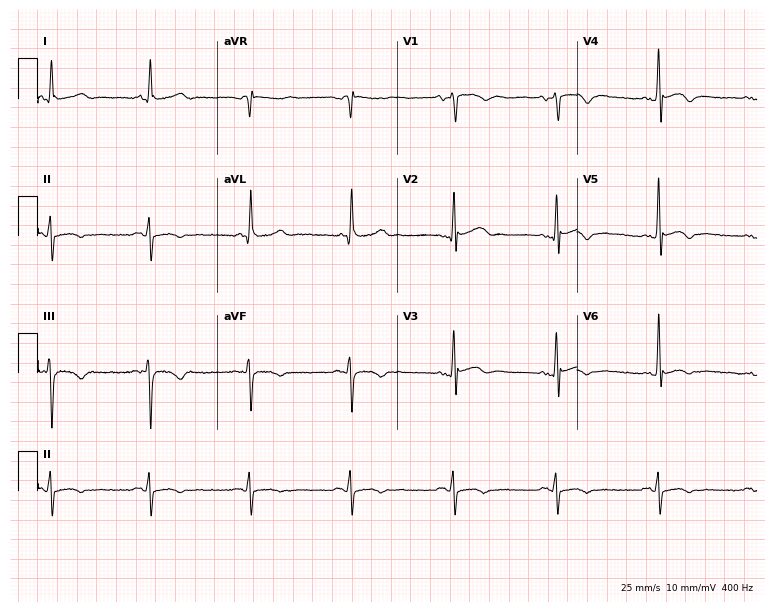
ECG (7.3-second recording at 400 Hz) — a man, 52 years old. Screened for six findings — first-degree AV block, right bundle branch block, left bundle branch block, sinus bradycardia, atrial fibrillation, sinus tachycardia — none is recorded.